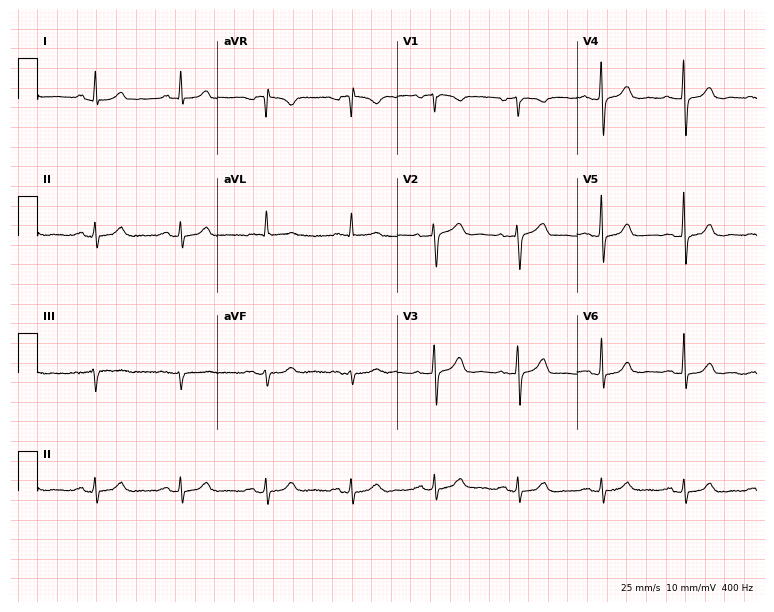
Standard 12-lead ECG recorded from a 61-year-old woman (7.3-second recording at 400 Hz). None of these six findings is recorded: first-degree AV block, right bundle branch block (RBBB), left bundle branch block (LBBB), sinus bradycardia, atrial fibrillation (AF), sinus tachycardia. Findings outside these six are not listed.